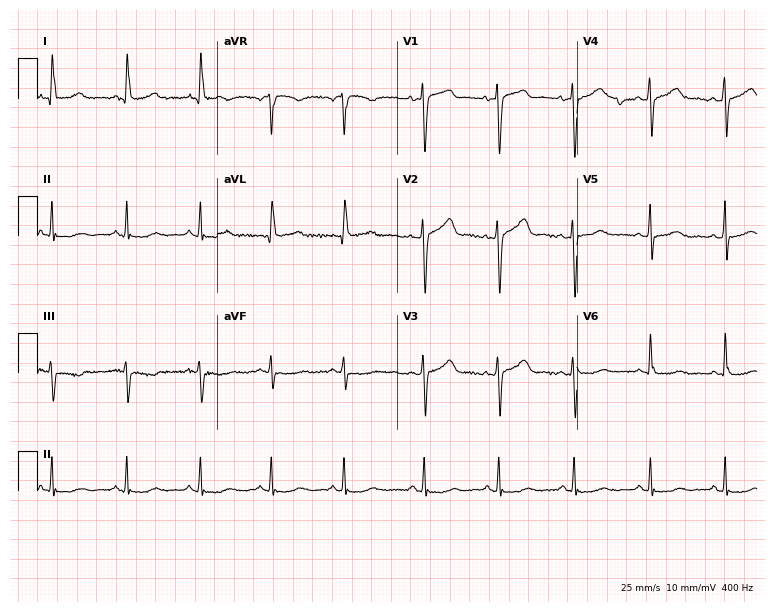
Electrocardiogram, a 57-year-old female patient. Of the six screened findings (first-degree AV block, right bundle branch block (RBBB), left bundle branch block (LBBB), sinus bradycardia, atrial fibrillation (AF), sinus tachycardia), none is recorded.